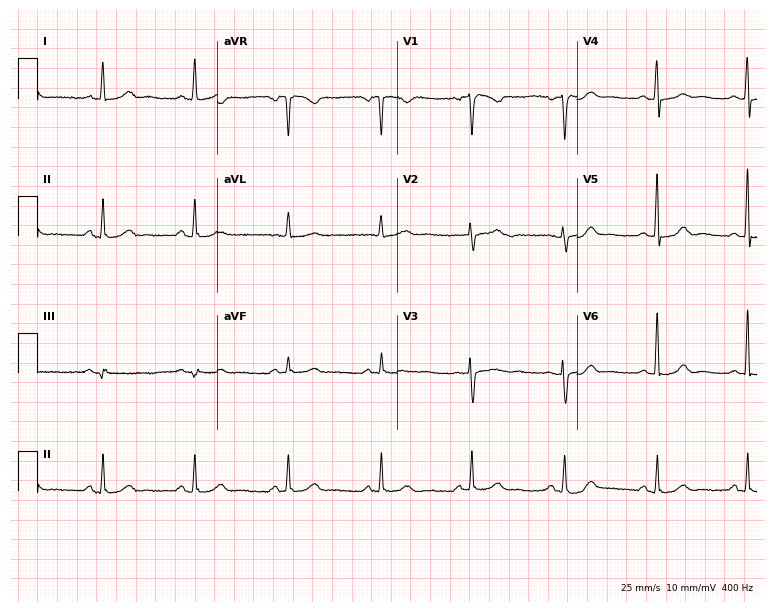
Resting 12-lead electrocardiogram. Patient: a woman, 58 years old. Read as a normal ECG.